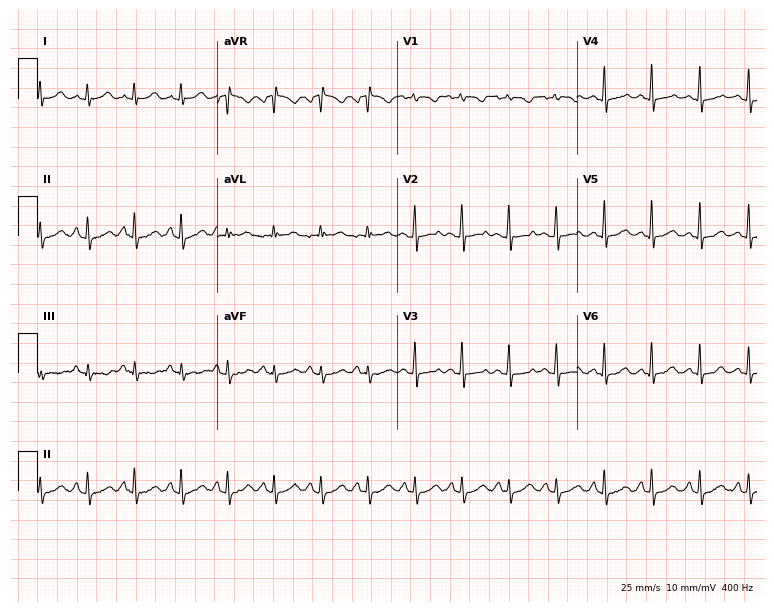
Resting 12-lead electrocardiogram (7.3-second recording at 400 Hz). Patient: a woman, 24 years old. The tracing shows sinus tachycardia (a sinus rate of 100 beats per minute or more).